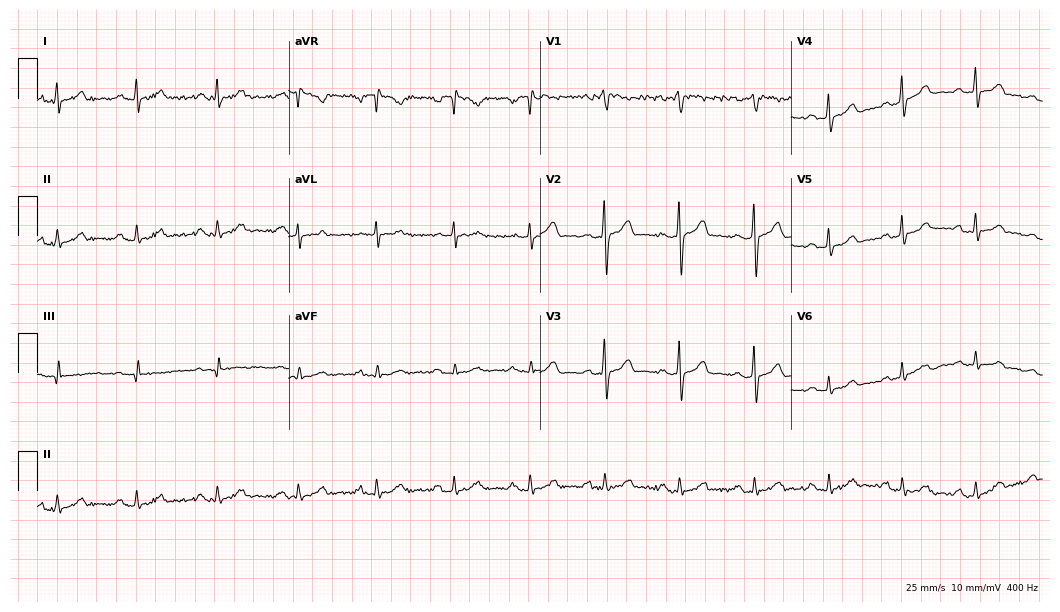
12-lead ECG from a 45-year-old man. No first-degree AV block, right bundle branch block (RBBB), left bundle branch block (LBBB), sinus bradycardia, atrial fibrillation (AF) or sinus tachycardia recorded for this tracing.